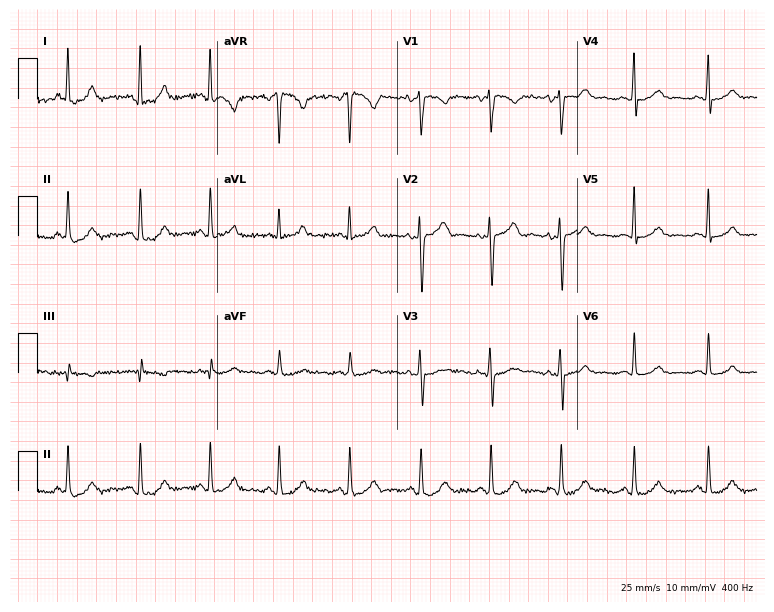
Resting 12-lead electrocardiogram (7.3-second recording at 400 Hz). Patient: a 32-year-old female. Read as a normal ECG.